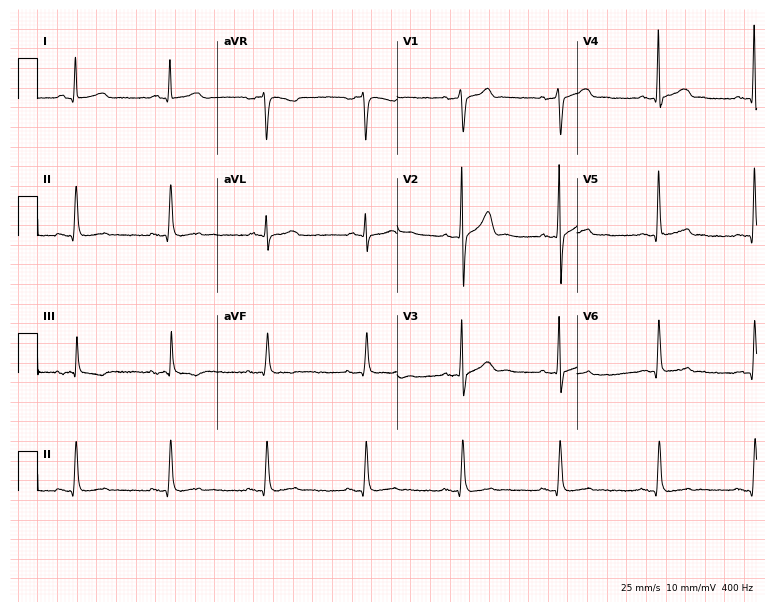
12-lead ECG (7.3-second recording at 400 Hz) from a male patient, 48 years old. Screened for six findings — first-degree AV block, right bundle branch block, left bundle branch block, sinus bradycardia, atrial fibrillation, sinus tachycardia — none is recorded.